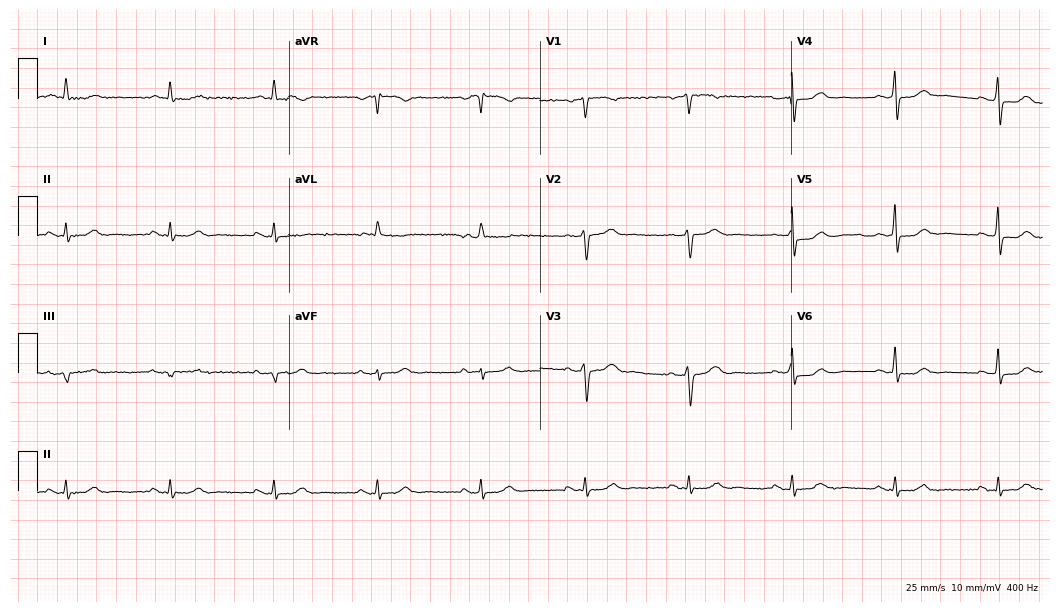
Electrocardiogram, a man, 71 years old. Of the six screened findings (first-degree AV block, right bundle branch block, left bundle branch block, sinus bradycardia, atrial fibrillation, sinus tachycardia), none is recorded. Only these six findings were labelled.